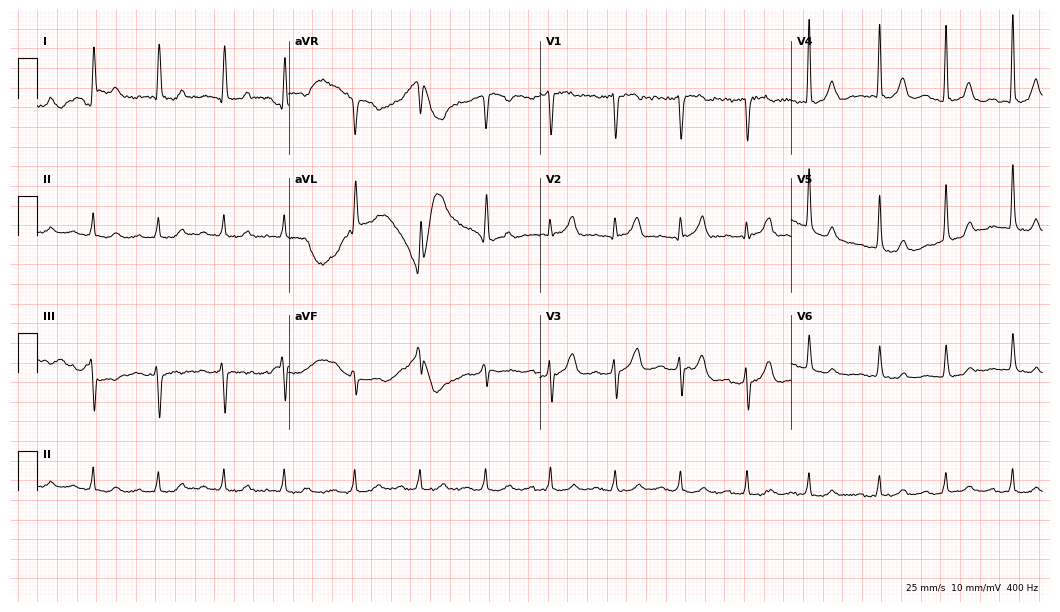
Electrocardiogram, a man, 77 years old. Of the six screened findings (first-degree AV block, right bundle branch block (RBBB), left bundle branch block (LBBB), sinus bradycardia, atrial fibrillation (AF), sinus tachycardia), none is recorded.